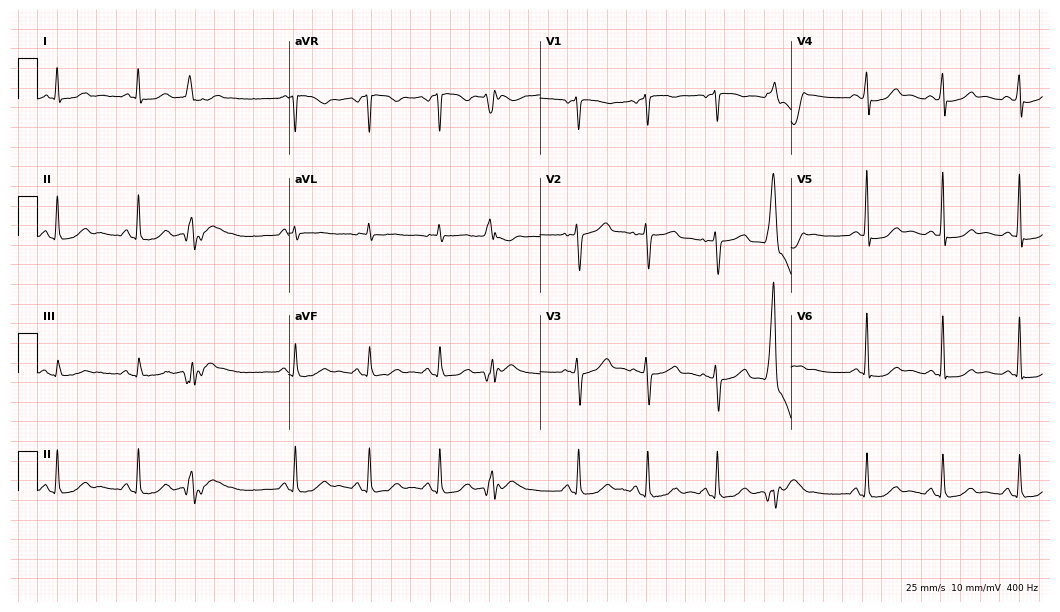
Standard 12-lead ECG recorded from a 53-year-old female. None of these six findings is recorded: first-degree AV block, right bundle branch block, left bundle branch block, sinus bradycardia, atrial fibrillation, sinus tachycardia. Findings outside these six are not listed.